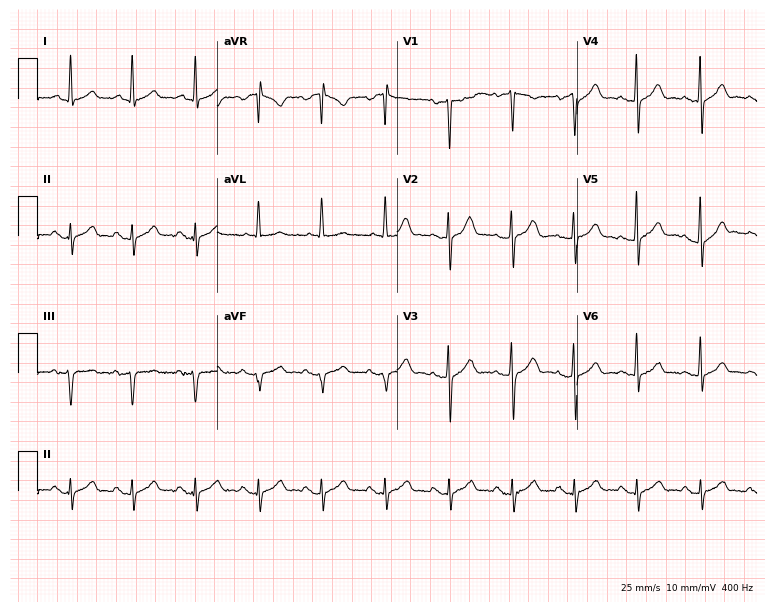
Standard 12-lead ECG recorded from a man, 62 years old. None of these six findings is recorded: first-degree AV block, right bundle branch block, left bundle branch block, sinus bradycardia, atrial fibrillation, sinus tachycardia. Findings outside these six are not listed.